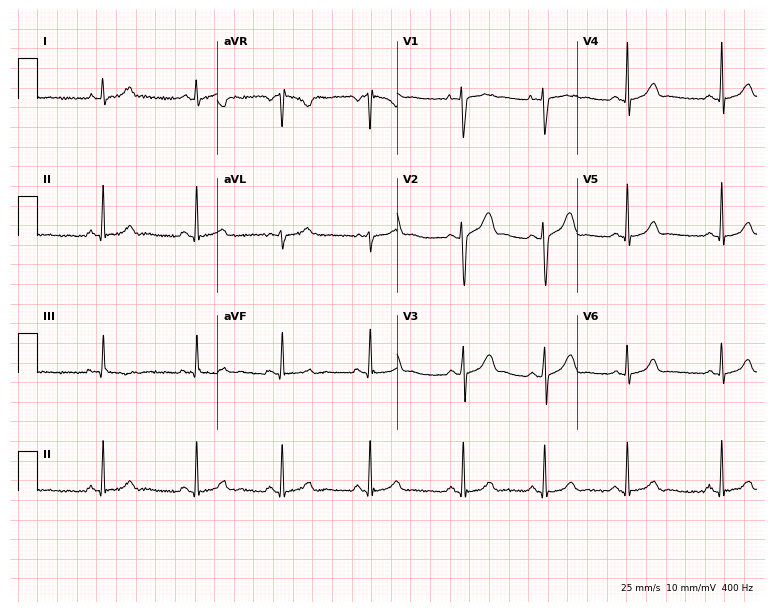
12-lead ECG from a 21-year-old woman. Labelled as a normal ECG.